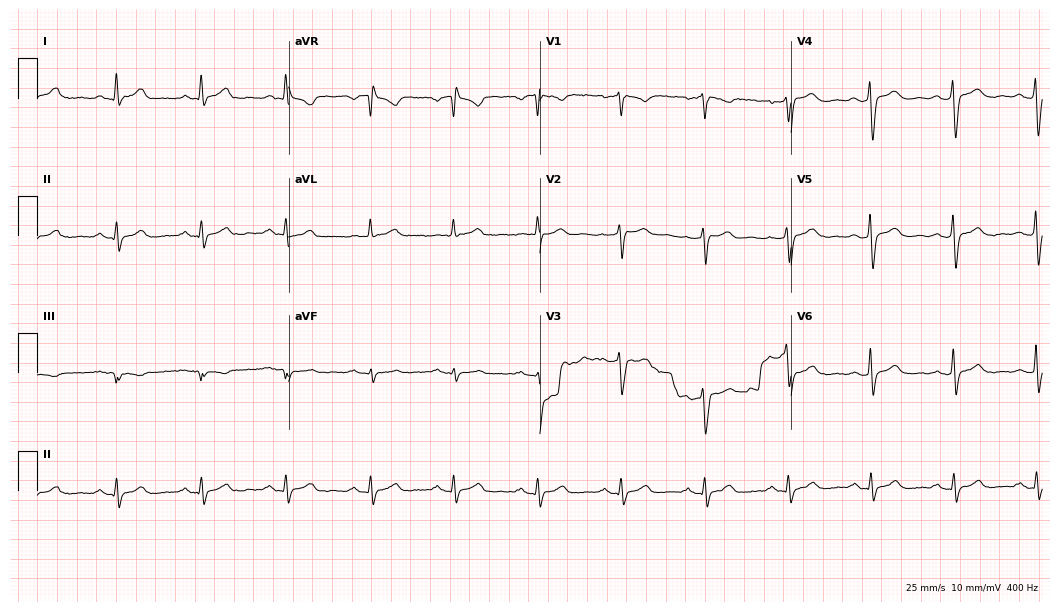
Standard 12-lead ECG recorded from a male patient, 52 years old (10.2-second recording at 400 Hz). Read as a normal ECG.